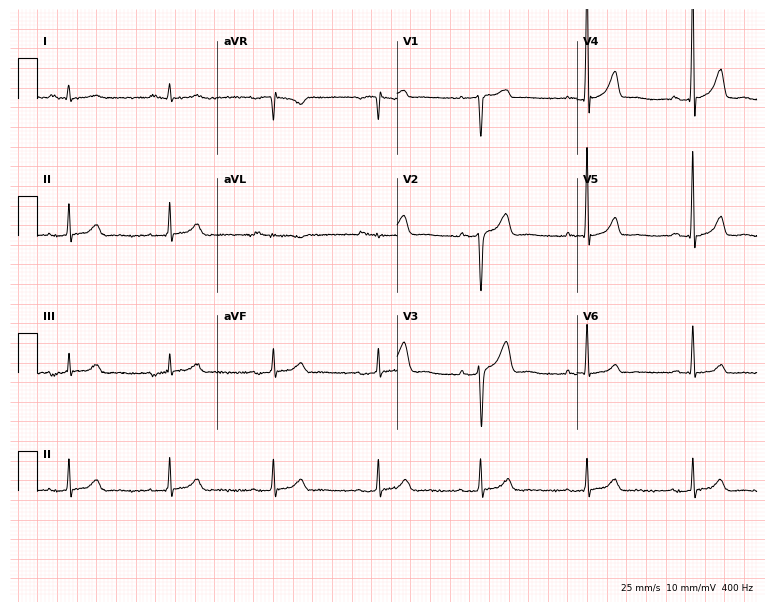
Electrocardiogram (7.3-second recording at 400 Hz), a 52-year-old man. Overall reading on record: normal ECG.